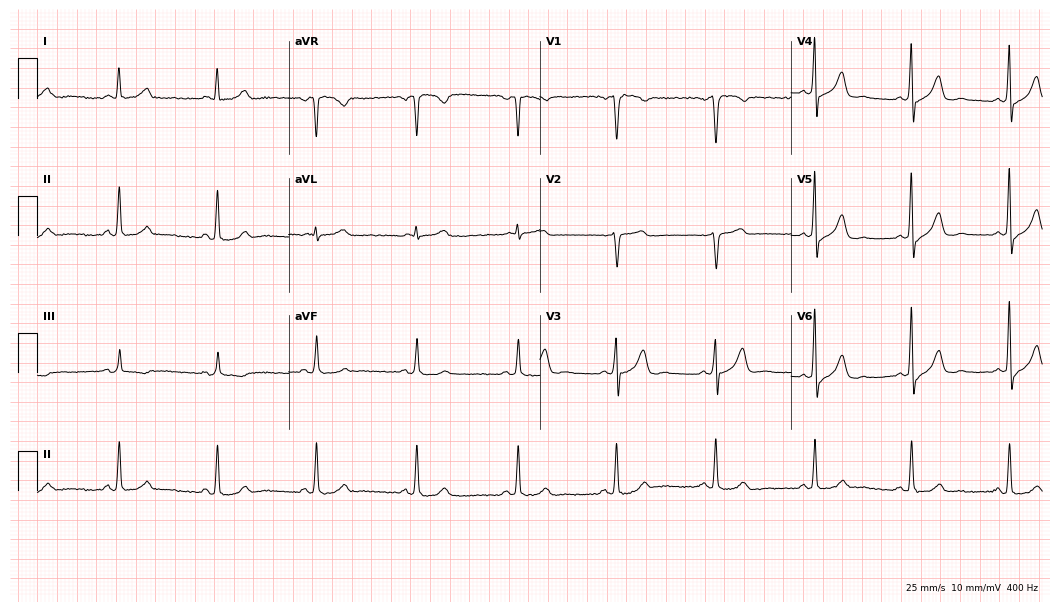
Resting 12-lead electrocardiogram. Patient: a 52-year-old male. Read as a normal ECG.